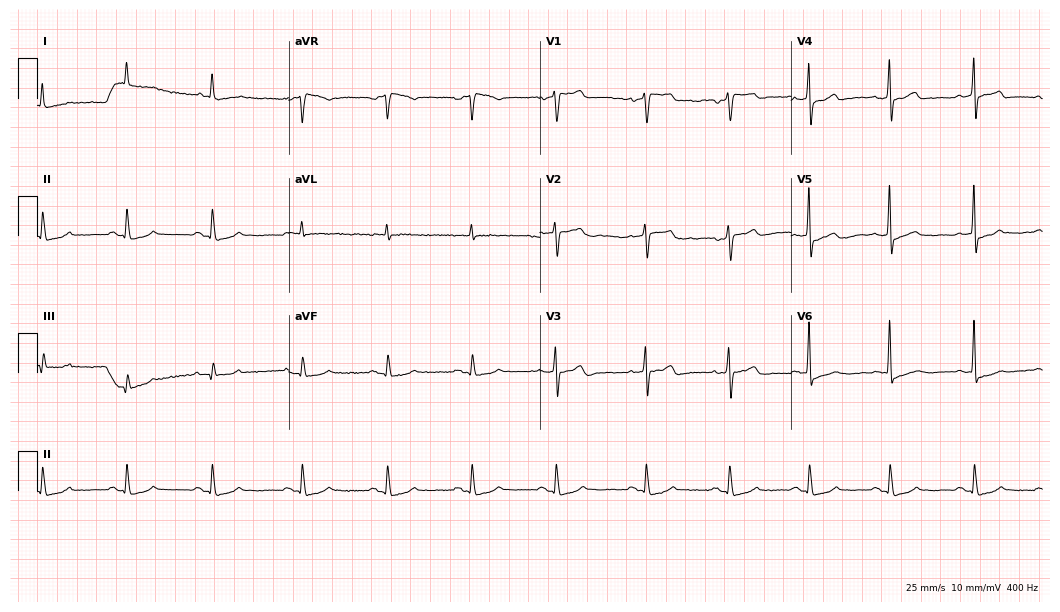
12-lead ECG from a 75-year-old male patient. Screened for six findings — first-degree AV block, right bundle branch block, left bundle branch block, sinus bradycardia, atrial fibrillation, sinus tachycardia — none is recorded.